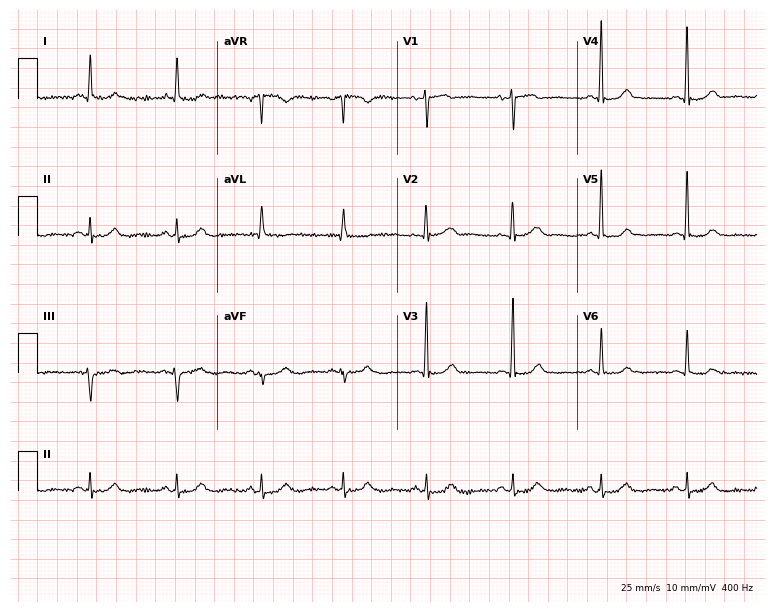
12-lead ECG from a female, 52 years old. Screened for six findings — first-degree AV block, right bundle branch block, left bundle branch block, sinus bradycardia, atrial fibrillation, sinus tachycardia — none is recorded. Other findings, if any, are not listed.